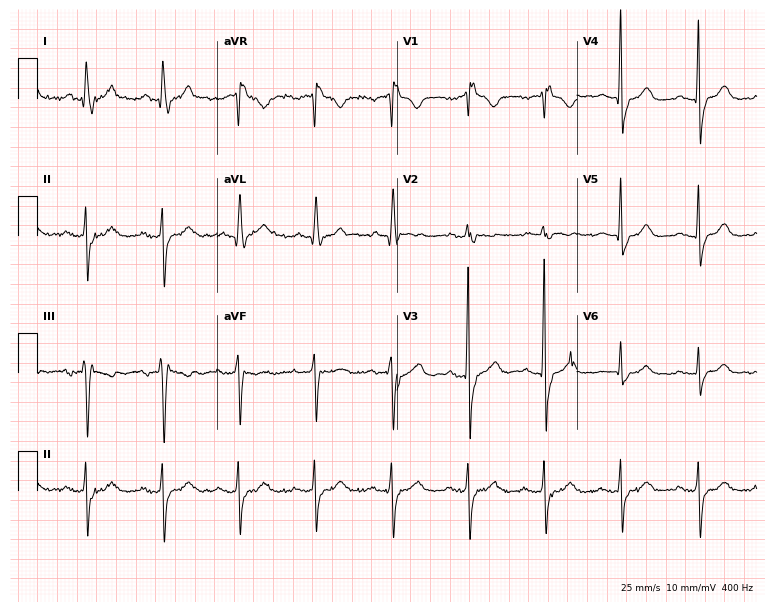
ECG (7.3-second recording at 400 Hz) — a female patient, 76 years old. Findings include right bundle branch block (RBBB).